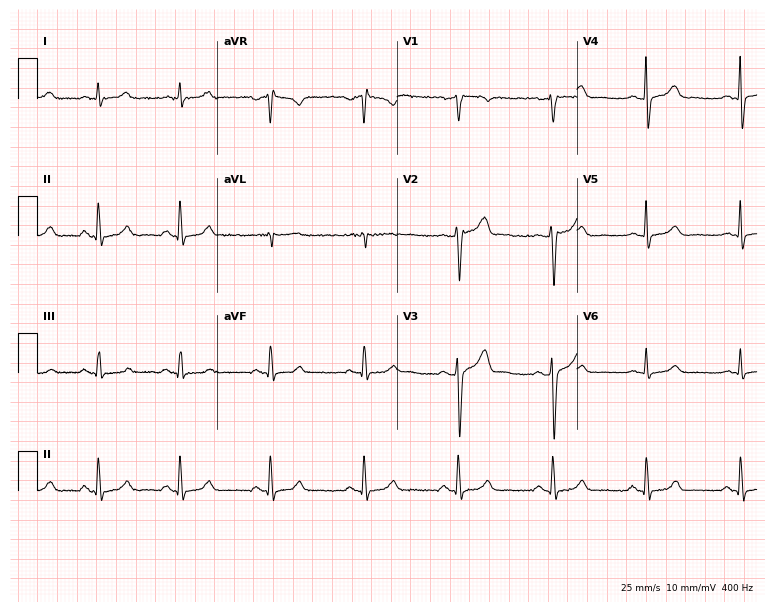
Resting 12-lead electrocardiogram (7.3-second recording at 400 Hz). Patient: a man, 48 years old. None of these six findings is recorded: first-degree AV block, right bundle branch block (RBBB), left bundle branch block (LBBB), sinus bradycardia, atrial fibrillation (AF), sinus tachycardia. Findings outside these six are not listed.